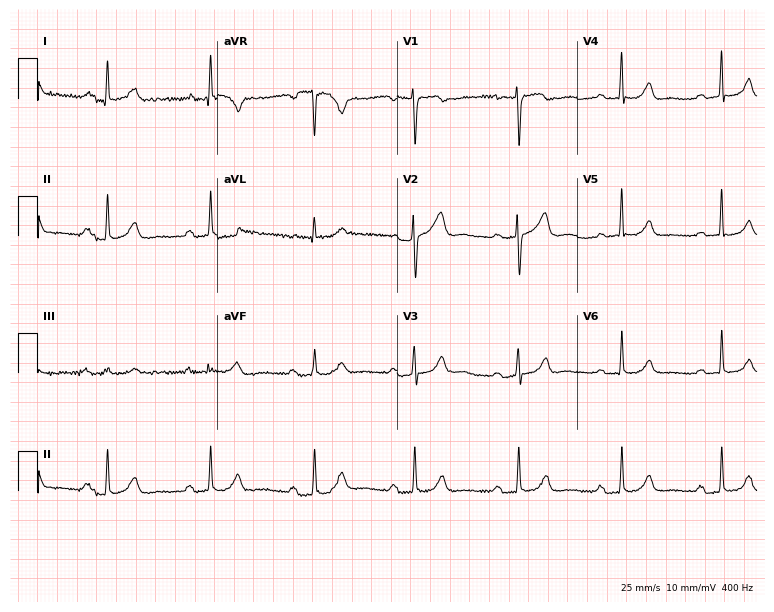
12-lead ECG from a female patient, 34 years old (7.3-second recording at 400 Hz). Shows first-degree AV block.